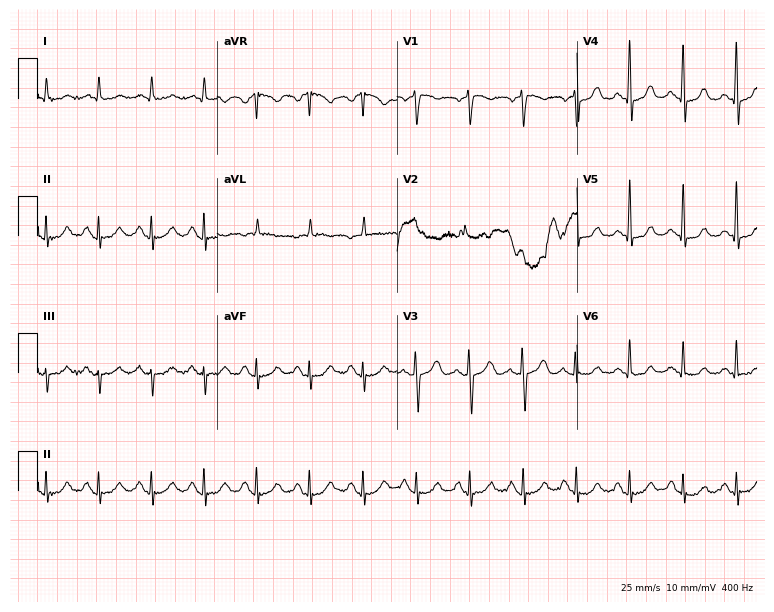
12-lead ECG (7.3-second recording at 400 Hz) from a 70-year-old male patient. Findings include sinus tachycardia (a sinus rate of 100 beats per minute or more).